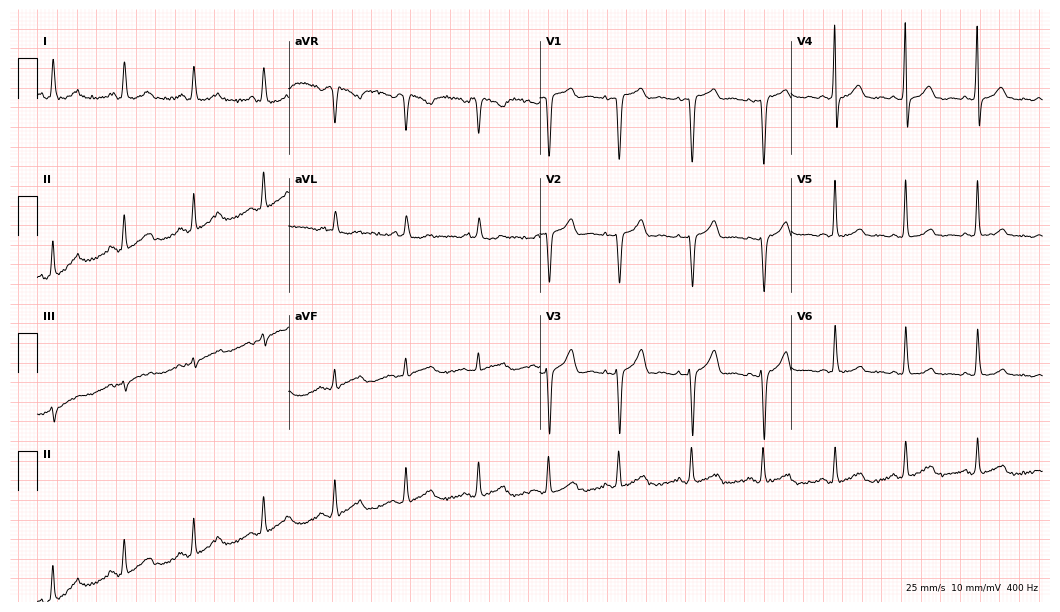
ECG (10.2-second recording at 400 Hz) — a female, 53 years old. Labelled as a normal ECG.